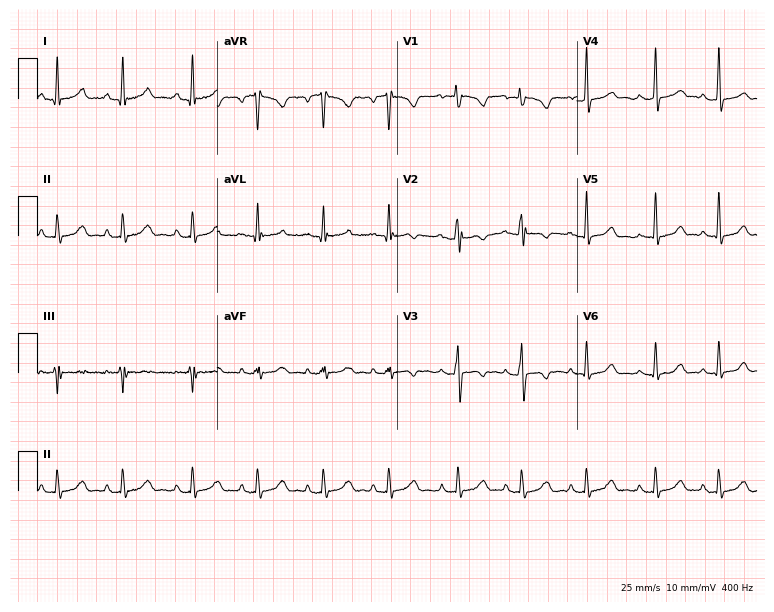
Electrocardiogram (7.3-second recording at 400 Hz), a female, 30 years old. Of the six screened findings (first-degree AV block, right bundle branch block, left bundle branch block, sinus bradycardia, atrial fibrillation, sinus tachycardia), none is recorded. Other findings, if any, are not listed.